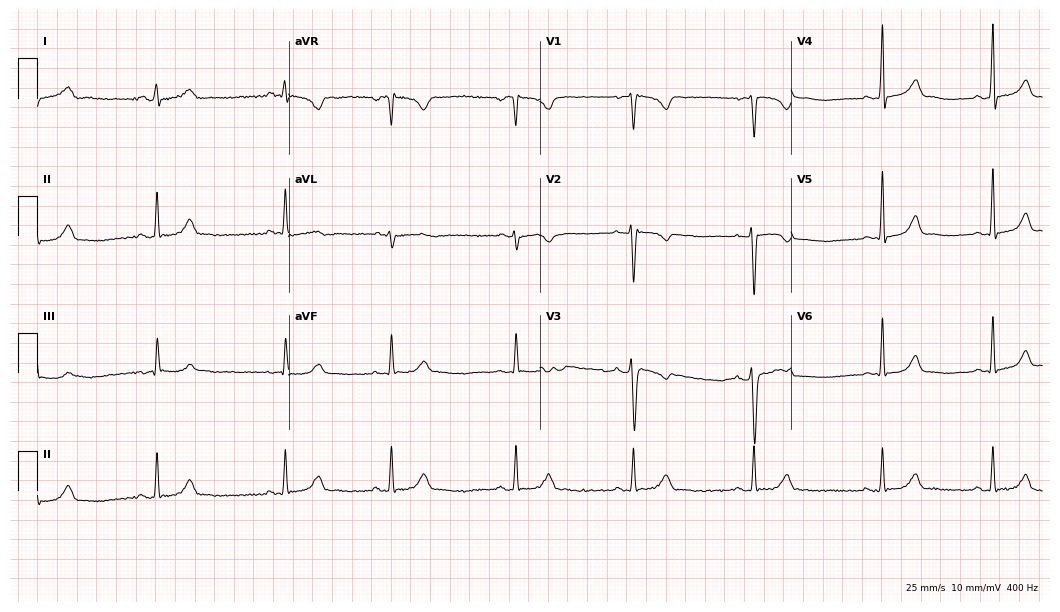
12-lead ECG from a female patient, 25 years old. No first-degree AV block, right bundle branch block, left bundle branch block, sinus bradycardia, atrial fibrillation or sinus tachycardia recorded for this tracing.